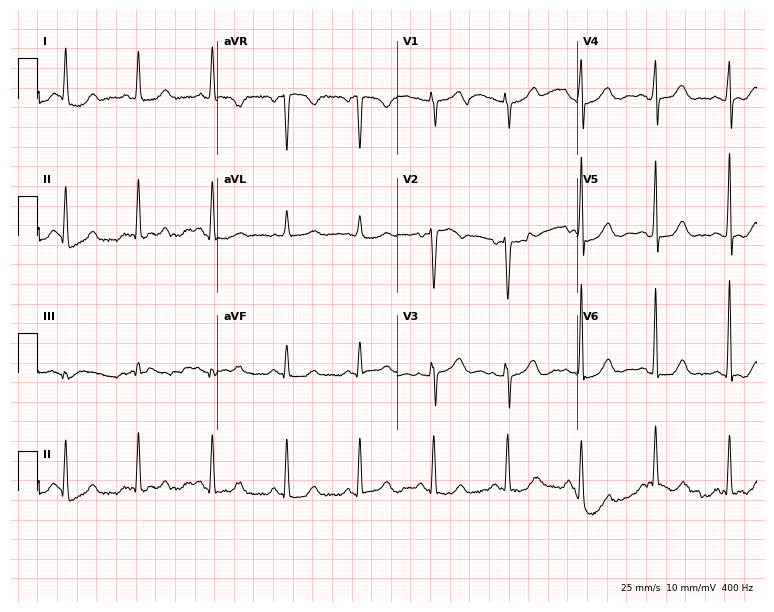
12-lead ECG from a female patient, 55 years old. Screened for six findings — first-degree AV block, right bundle branch block, left bundle branch block, sinus bradycardia, atrial fibrillation, sinus tachycardia — none is recorded.